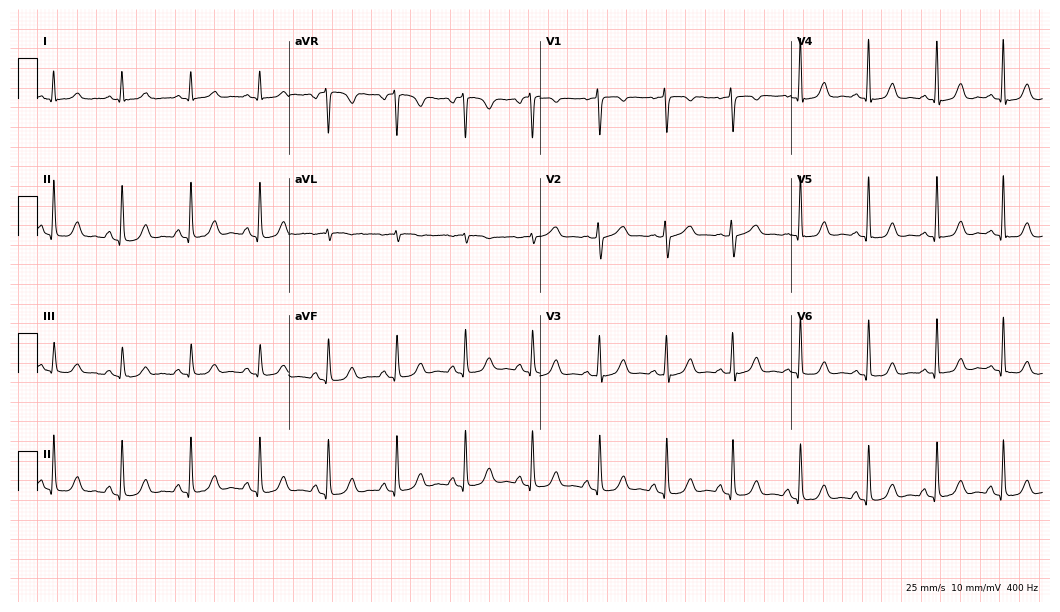
12-lead ECG from a woman, 59 years old. Screened for six findings — first-degree AV block, right bundle branch block, left bundle branch block, sinus bradycardia, atrial fibrillation, sinus tachycardia — none is recorded.